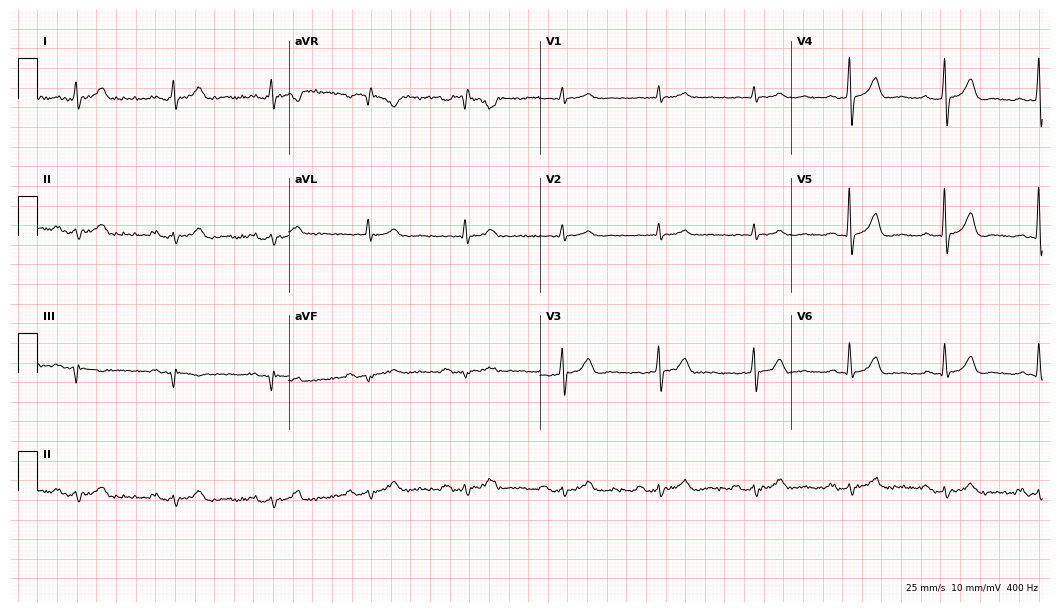
12-lead ECG (10.2-second recording at 400 Hz) from a male, 79 years old. Screened for six findings — first-degree AV block, right bundle branch block, left bundle branch block, sinus bradycardia, atrial fibrillation, sinus tachycardia — none is recorded. Findings outside these six are not listed.